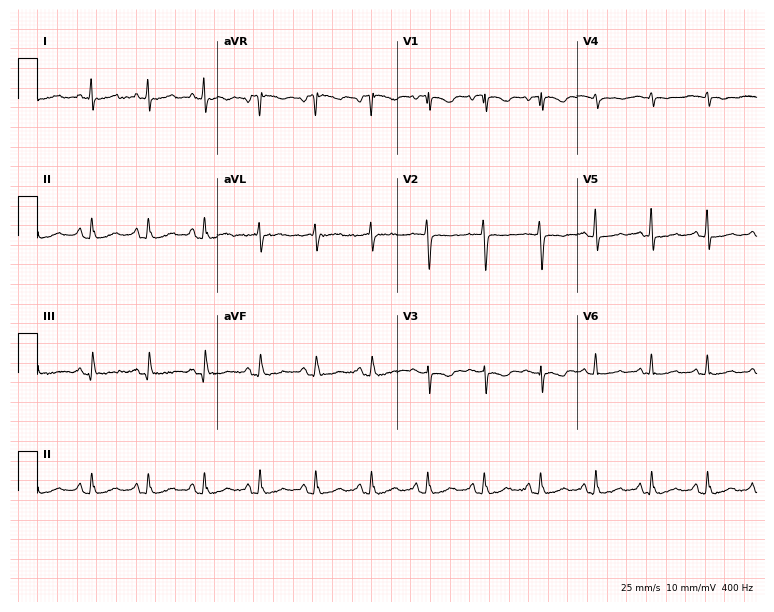
12-lead ECG from a female, 76 years old. Shows sinus tachycardia (a sinus rate of 100 beats per minute or more).